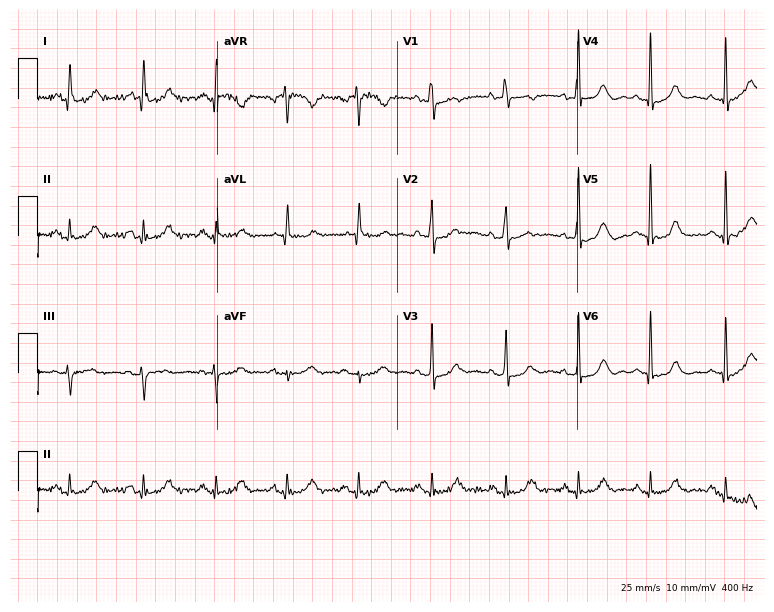
ECG (7.3-second recording at 400 Hz) — a female patient, 66 years old. Labelled as a normal ECG.